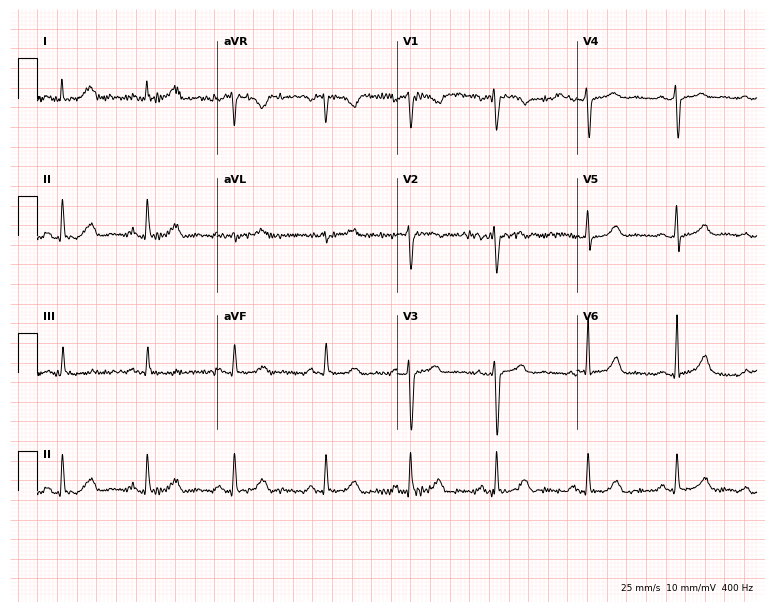
Standard 12-lead ECG recorded from a female, 36 years old (7.3-second recording at 400 Hz). Read as a normal ECG.